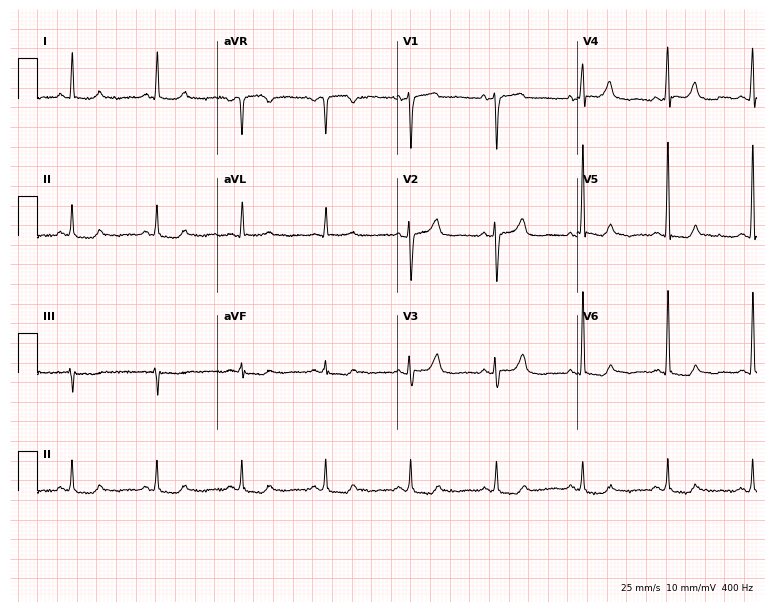
Standard 12-lead ECG recorded from a 72-year-old woman. None of these six findings is recorded: first-degree AV block, right bundle branch block (RBBB), left bundle branch block (LBBB), sinus bradycardia, atrial fibrillation (AF), sinus tachycardia. Other findings, if any, are not listed.